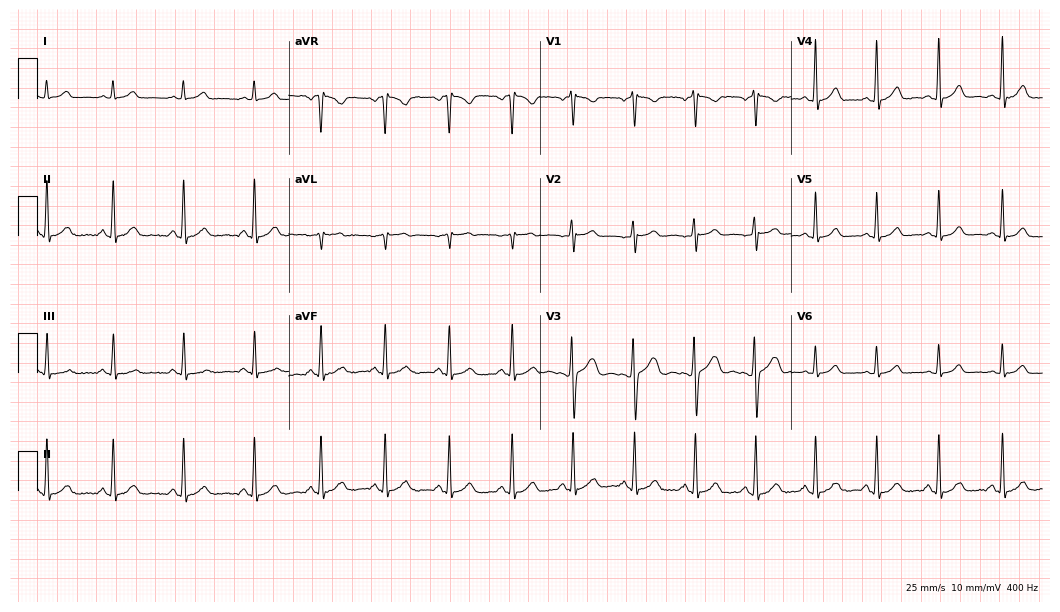
12-lead ECG (10.2-second recording at 400 Hz) from a 19-year-old female patient. Labelled as a normal ECG.